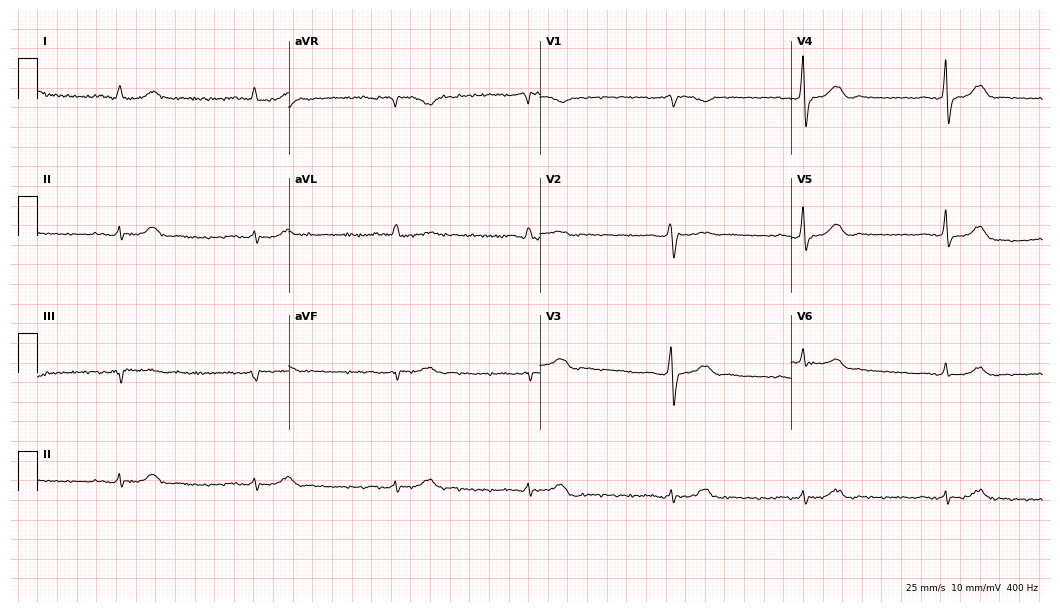
Resting 12-lead electrocardiogram (10.2-second recording at 400 Hz). Patient: a female, 84 years old. The tracing shows sinus bradycardia (a sinus rate of 50 beats per minute or less).